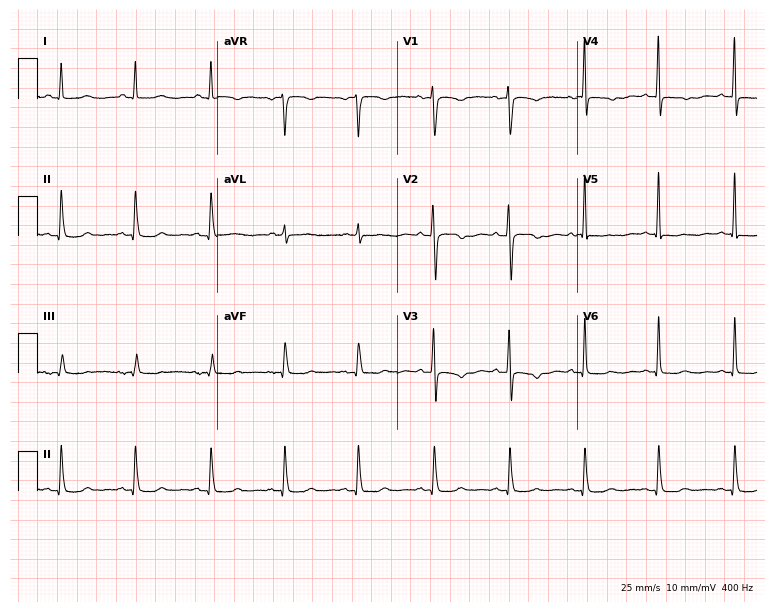
Standard 12-lead ECG recorded from a female patient, 45 years old. None of these six findings is recorded: first-degree AV block, right bundle branch block, left bundle branch block, sinus bradycardia, atrial fibrillation, sinus tachycardia.